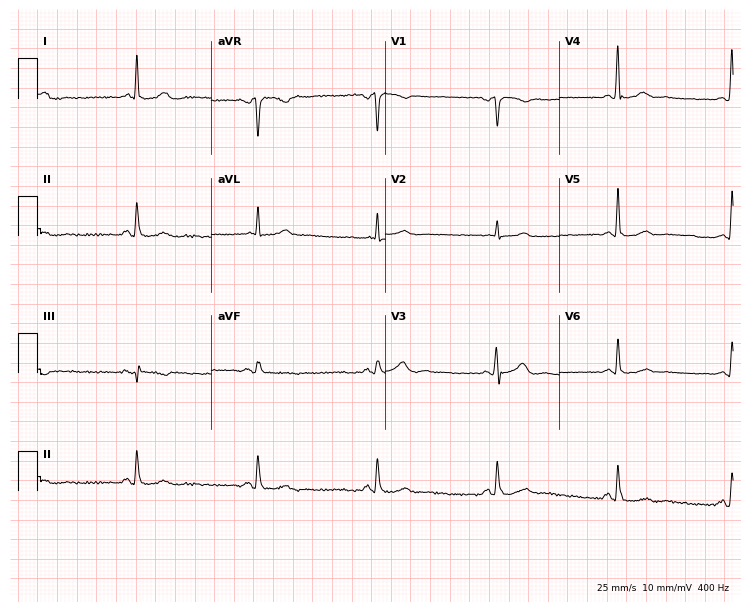
12-lead ECG (7.1-second recording at 400 Hz) from a male patient, 50 years old. Screened for six findings — first-degree AV block, right bundle branch block (RBBB), left bundle branch block (LBBB), sinus bradycardia, atrial fibrillation (AF), sinus tachycardia — none is recorded.